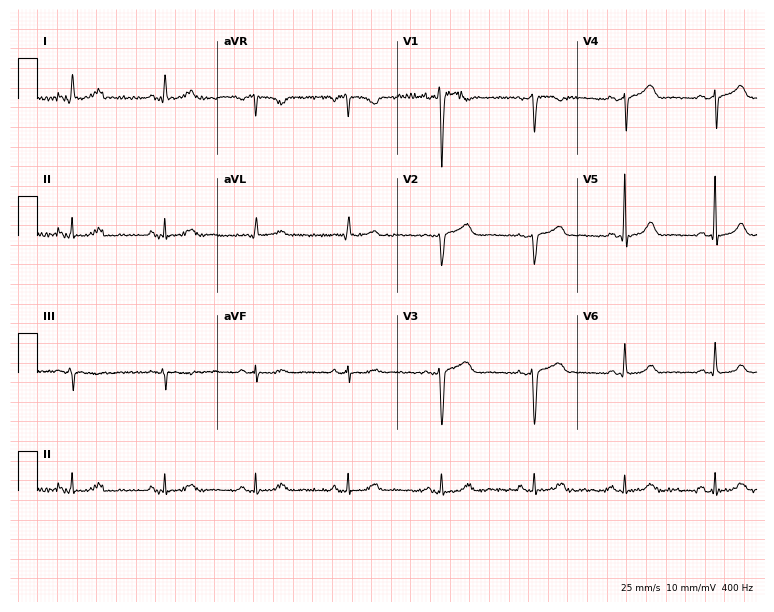
12-lead ECG from a 44-year-old female (7.3-second recording at 400 Hz). No first-degree AV block, right bundle branch block, left bundle branch block, sinus bradycardia, atrial fibrillation or sinus tachycardia recorded for this tracing.